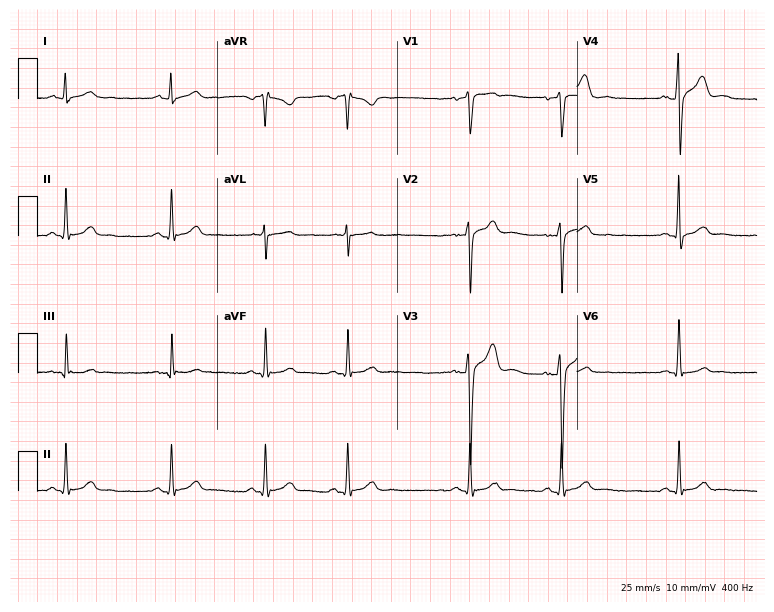
Electrocardiogram (7.3-second recording at 400 Hz), a 27-year-old male. Overall reading on record: normal ECG.